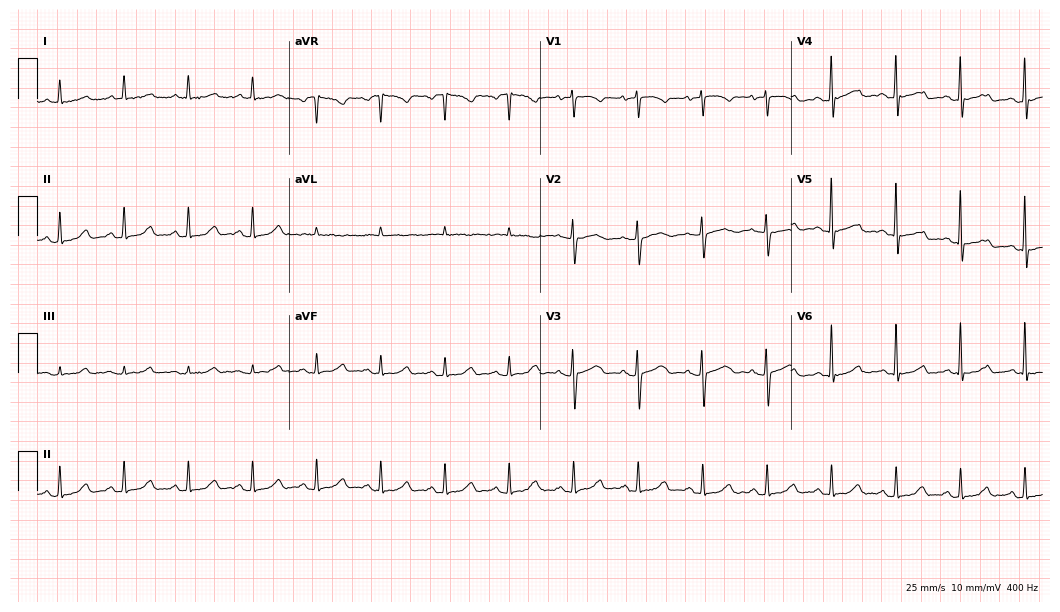
Electrocardiogram (10.2-second recording at 400 Hz), a 79-year-old woman. Overall reading on record: normal ECG.